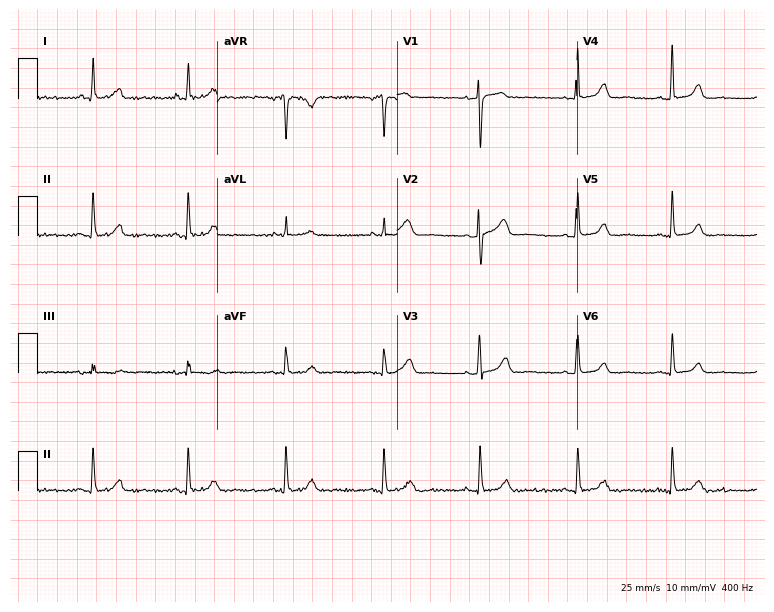
12-lead ECG (7.3-second recording at 400 Hz) from a woman, 39 years old. Labelled as a normal ECG.